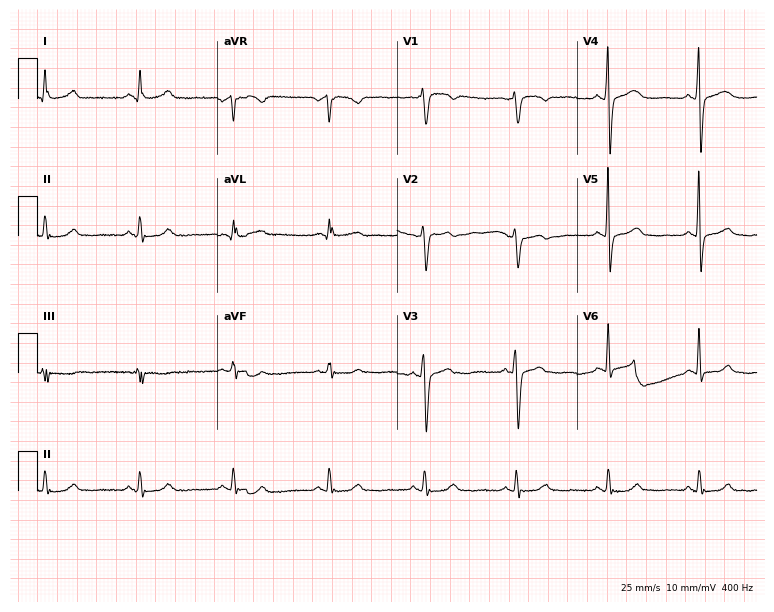
Standard 12-lead ECG recorded from a 47-year-old female patient. Read as a normal ECG.